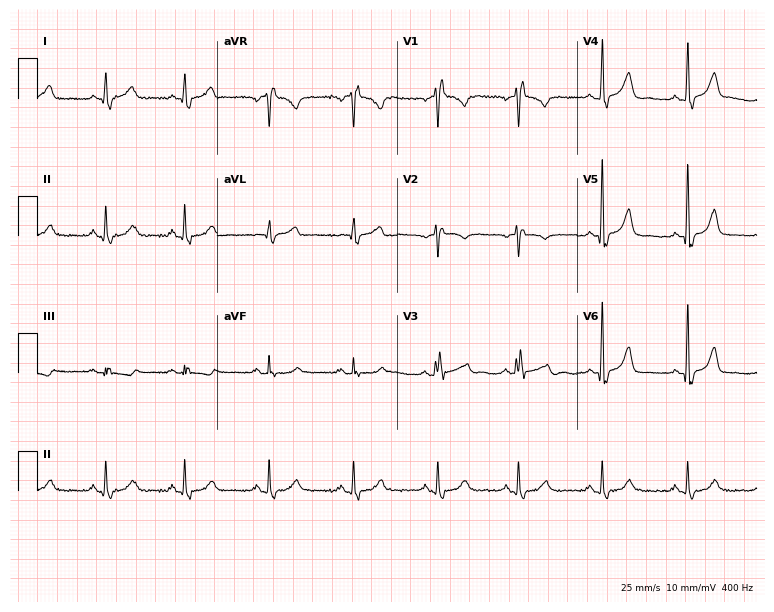
Resting 12-lead electrocardiogram. Patient: a woman, 43 years old. None of these six findings is recorded: first-degree AV block, right bundle branch block, left bundle branch block, sinus bradycardia, atrial fibrillation, sinus tachycardia. Other findings, if any, are not listed.